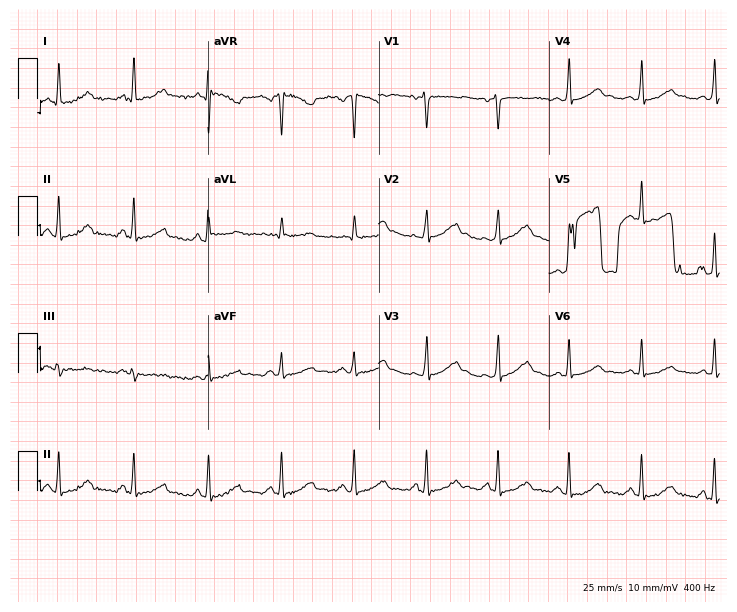
Standard 12-lead ECG recorded from a female, 37 years old. Read as a normal ECG.